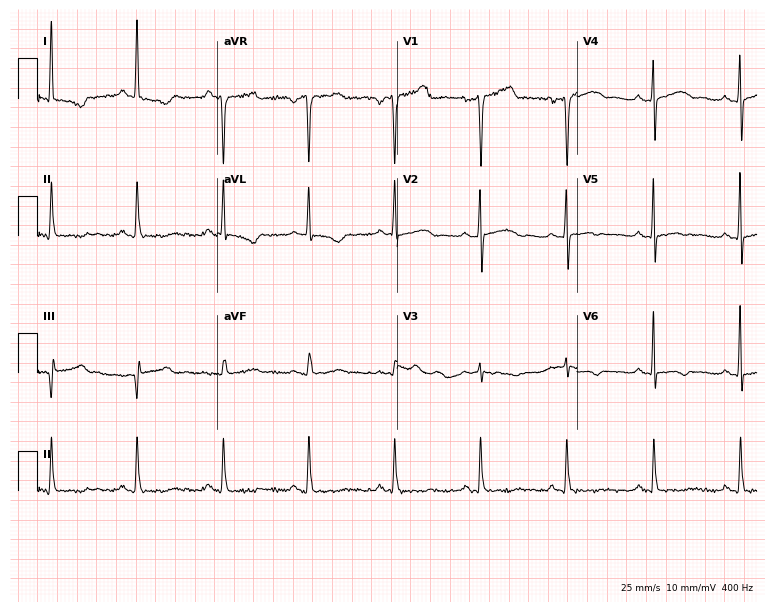
12-lead ECG from a female patient, 42 years old (7.3-second recording at 400 Hz). No first-degree AV block, right bundle branch block, left bundle branch block, sinus bradycardia, atrial fibrillation or sinus tachycardia recorded for this tracing. Only these six findings were labelled.